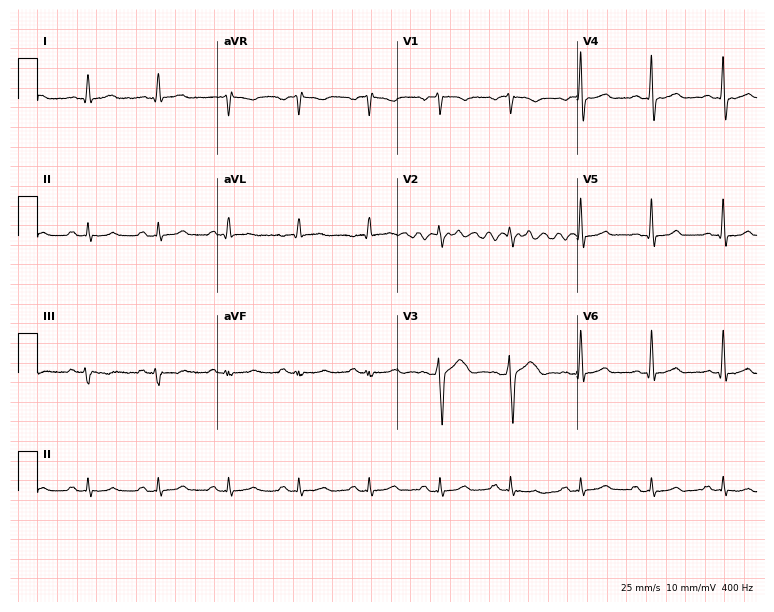
Electrocardiogram, a male, 48 years old. Of the six screened findings (first-degree AV block, right bundle branch block, left bundle branch block, sinus bradycardia, atrial fibrillation, sinus tachycardia), none is recorded.